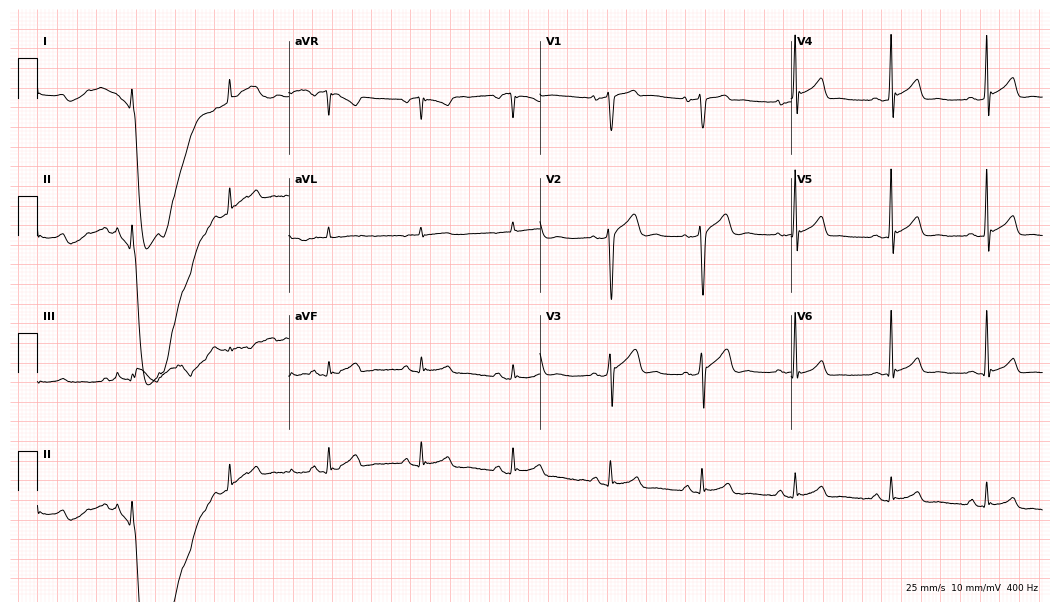
Standard 12-lead ECG recorded from a male, 32 years old. Read as a normal ECG.